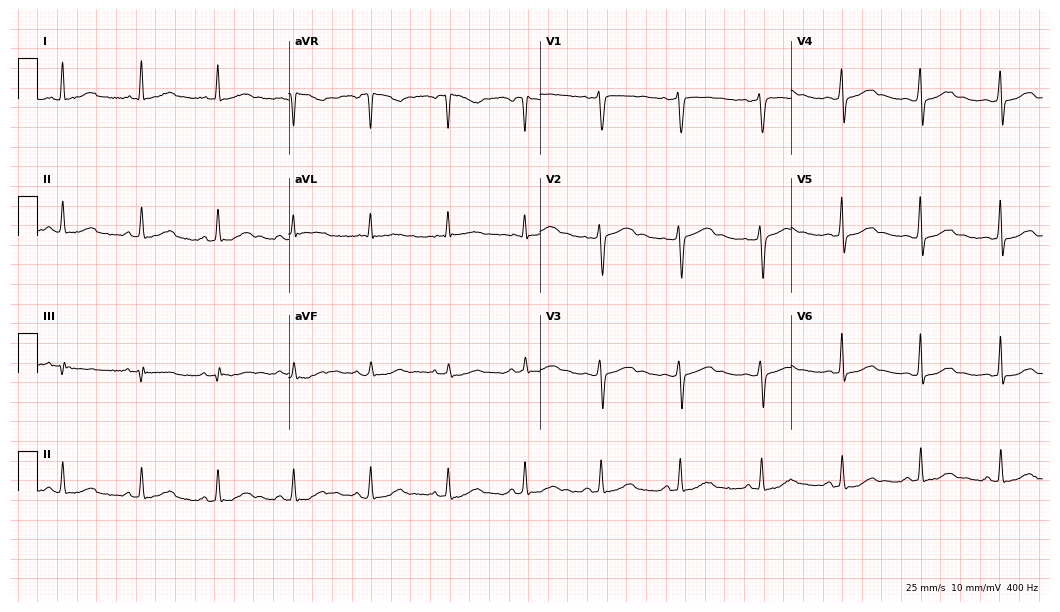
Electrocardiogram, a female patient, 43 years old. Overall reading on record: normal ECG.